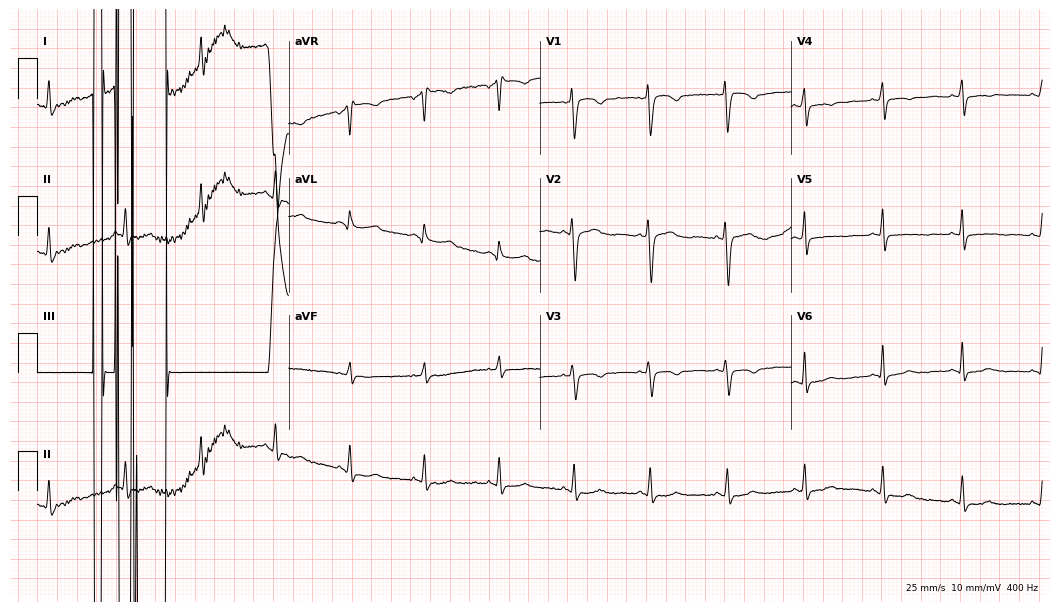
12-lead ECG from a 43-year-old woman. No first-degree AV block, right bundle branch block (RBBB), left bundle branch block (LBBB), sinus bradycardia, atrial fibrillation (AF) or sinus tachycardia recorded for this tracing.